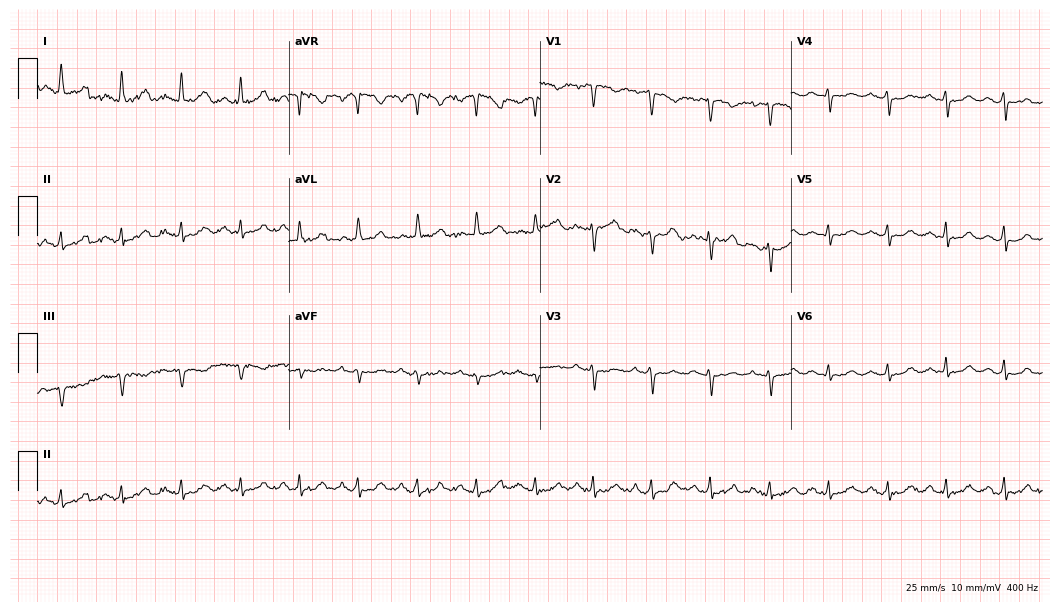
12-lead ECG from a female, 43 years old. No first-degree AV block, right bundle branch block, left bundle branch block, sinus bradycardia, atrial fibrillation or sinus tachycardia recorded for this tracing. Other findings, if any, are not listed.